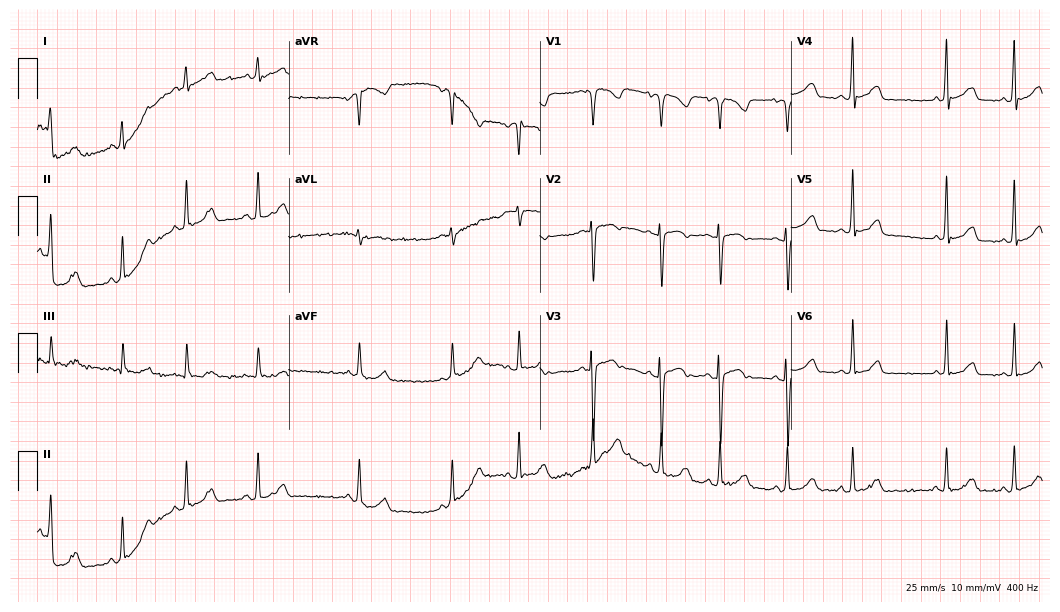
12-lead ECG from a man, 65 years old (10.2-second recording at 400 Hz). Recorded interpretation: within normal limits.